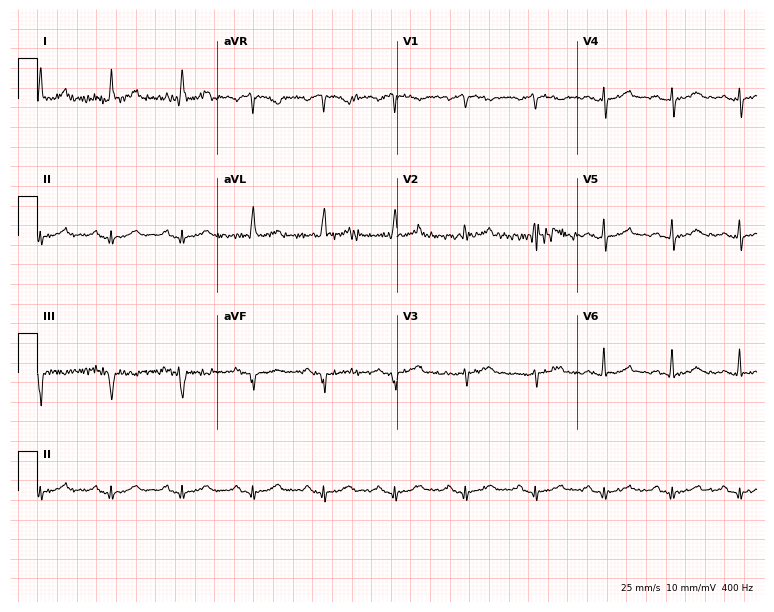
Electrocardiogram (7.3-second recording at 400 Hz), a 61-year-old male patient. Of the six screened findings (first-degree AV block, right bundle branch block (RBBB), left bundle branch block (LBBB), sinus bradycardia, atrial fibrillation (AF), sinus tachycardia), none is recorded.